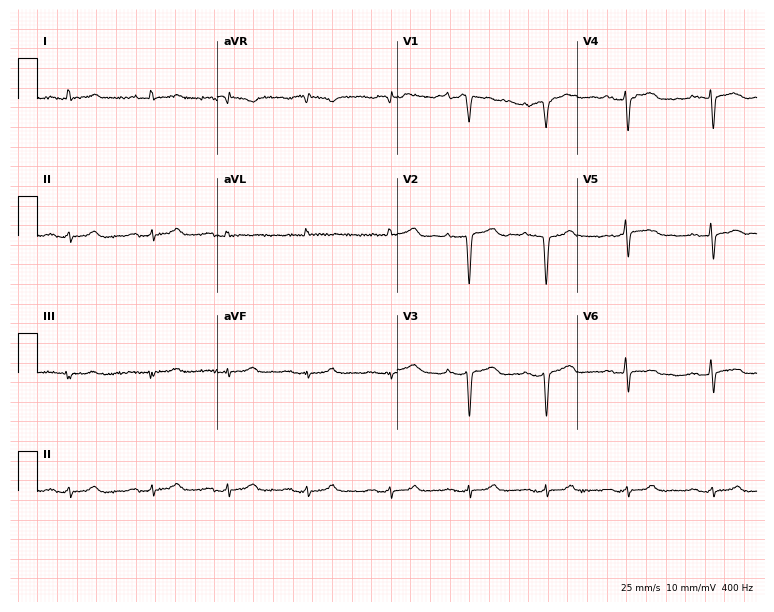
Electrocardiogram (7.3-second recording at 400 Hz), a 63-year-old man. Interpretation includes first-degree AV block.